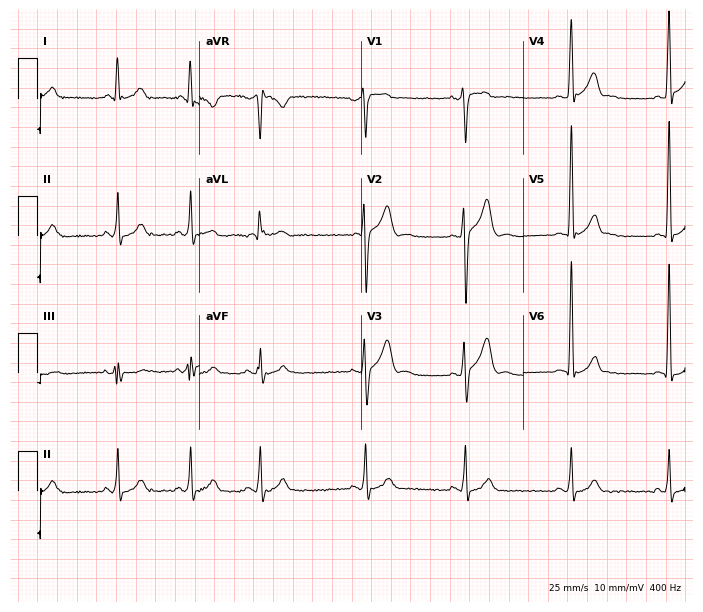
ECG — a male, 19 years old. Screened for six findings — first-degree AV block, right bundle branch block, left bundle branch block, sinus bradycardia, atrial fibrillation, sinus tachycardia — none is recorded. Findings outside these six are not listed.